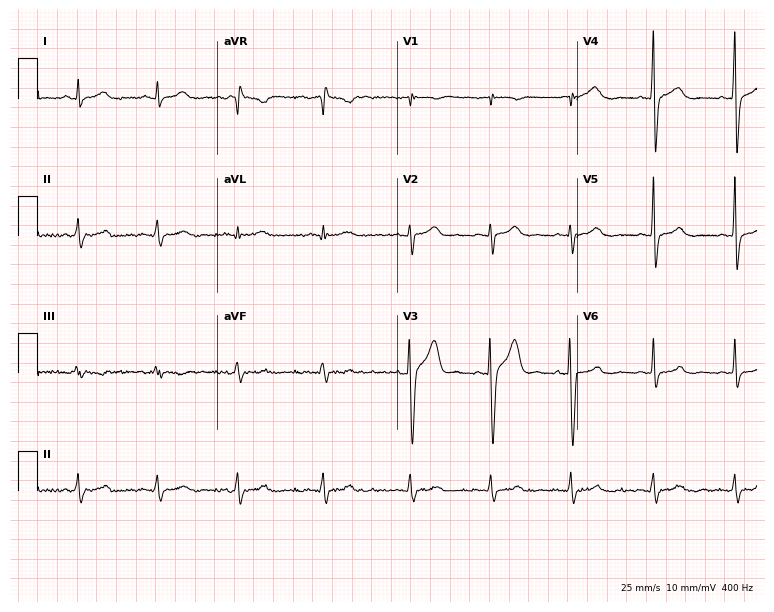
Standard 12-lead ECG recorded from a 24-year-old male patient (7.3-second recording at 400 Hz). None of these six findings is recorded: first-degree AV block, right bundle branch block, left bundle branch block, sinus bradycardia, atrial fibrillation, sinus tachycardia. Other findings, if any, are not listed.